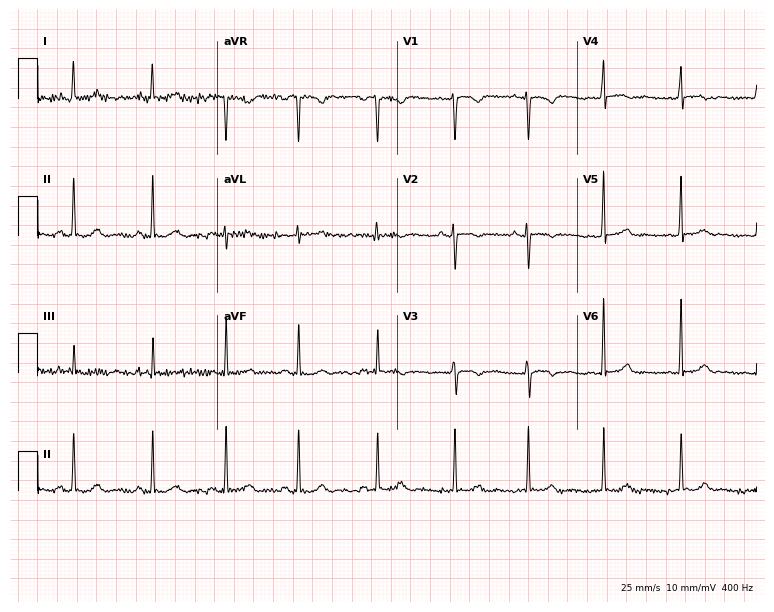
Electrocardiogram (7.3-second recording at 400 Hz), a 20-year-old female patient. Of the six screened findings (first-degree AV block, right bundle branch block (RBBB), left bundle branch block (LBBB), sinus bradycardia, atrial fibrillation (AF), sinus tachycardia), none is recorded.